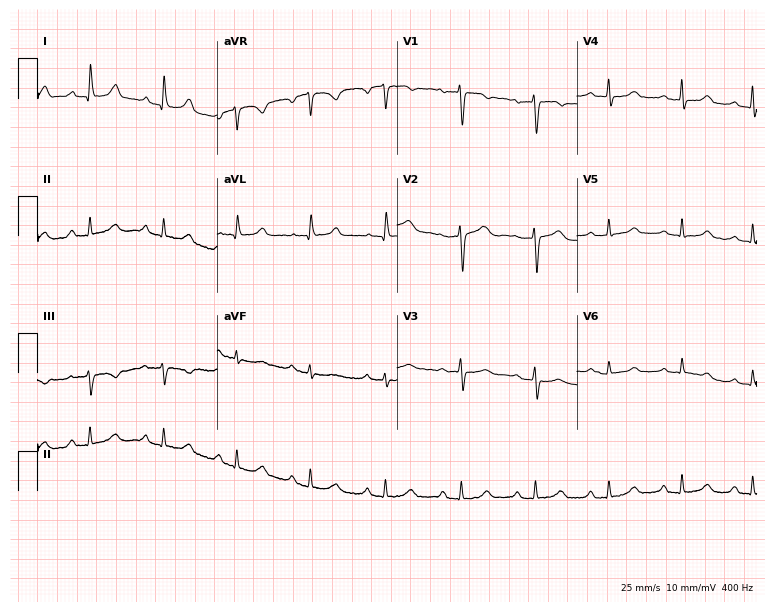
Resting 12-lead electrocardiogram. Patient: a 48-year-old female. The tracing shows first-degree AV block.